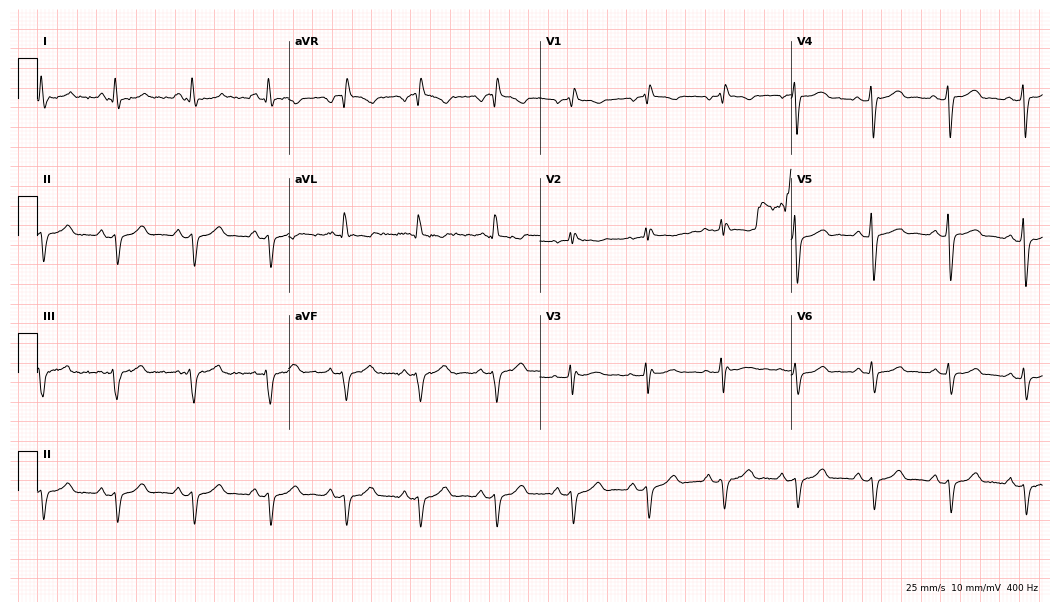
Standard 12-lead ECG recorded from a 56-year-old woman. None of these six findings is recorded: first-degree AV block, right bundle branch block (RBBB), left bundle branch block (LBBB), sinus bradycardia, atrial fibrillation (AF), sinus tachycardia.